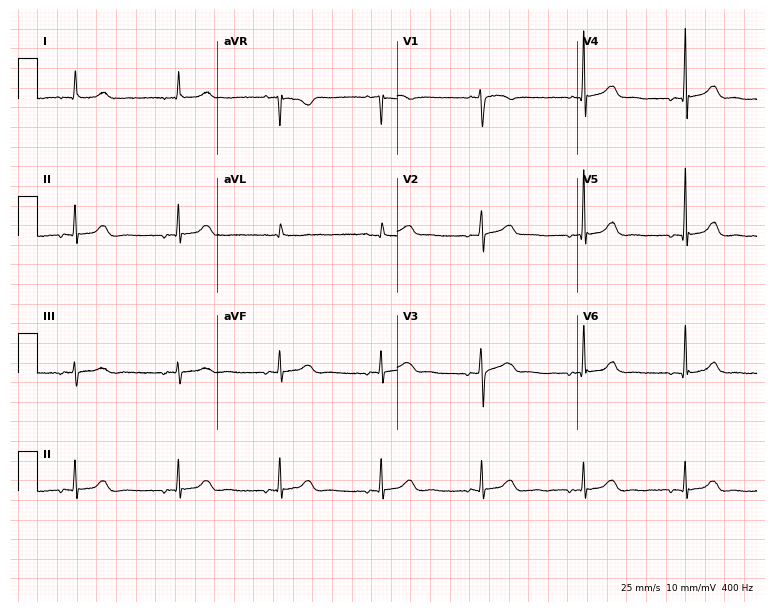
Resting 12-lead electrocardiogram. Patient: a 62-year-old female. Read as a normal ECG.